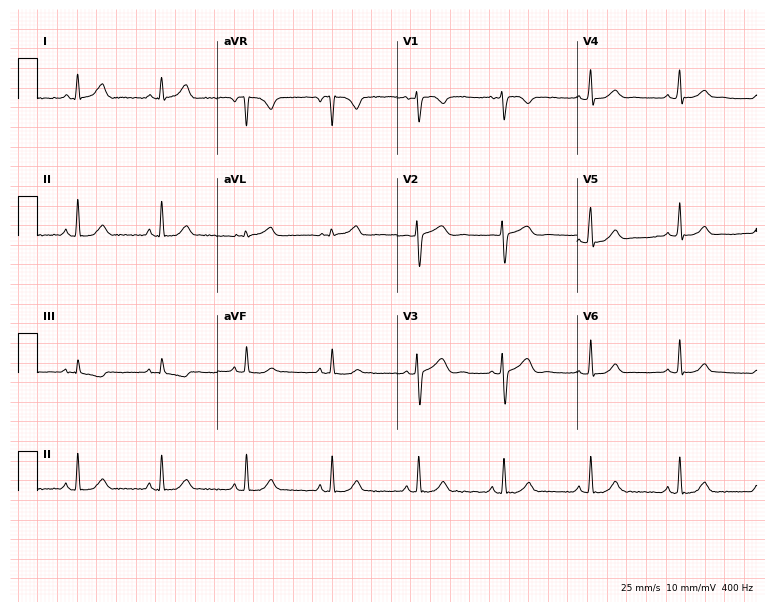
Electrocardiogram (7.3-second recording at 400 Hz), a 24-year-old female. Of the six screened findings (first-degree AV block, right bundle branch block, left bundle branch block, sinus bradycardia, atrial fibrillation, sinus tachycardia), none is recorded. Other findings, if any, are not listed.